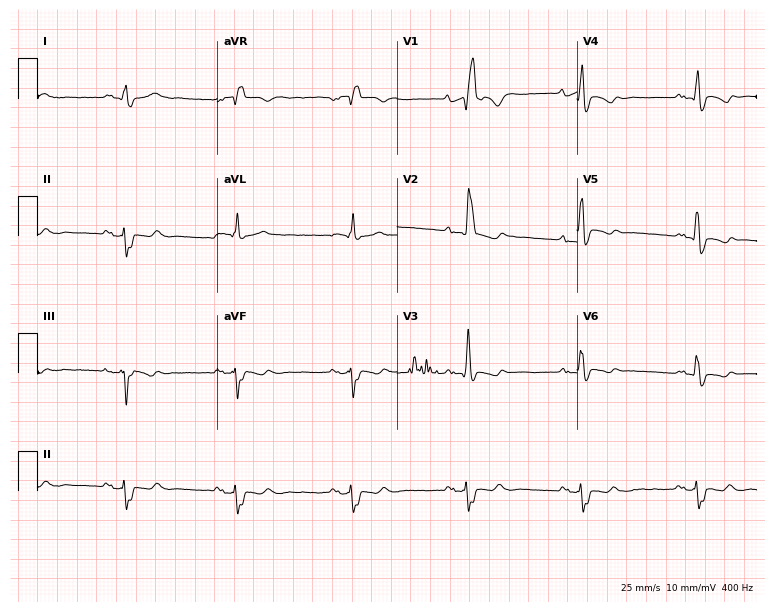
12-lead ECG from a 53-year-old male. Shows right bundle branch block (RBBB).